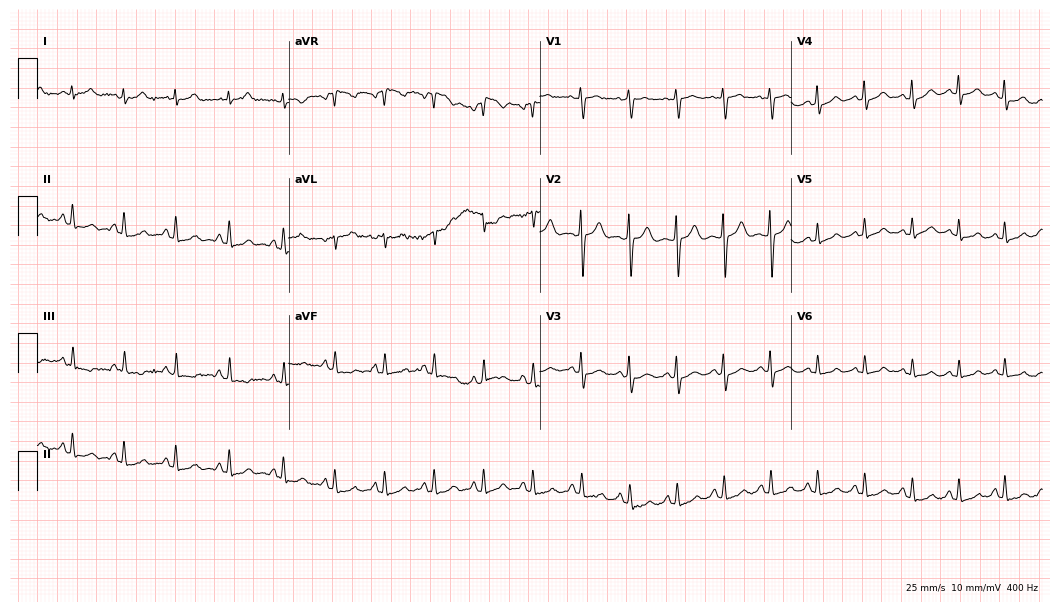
Resting 12-lead electrocardiogram (10.2-second recording at 400 Hz). Patient: a woman, 19 years old. The tracing shows sinus tachycardia (a sinus rate of 100 beats per minute or more).